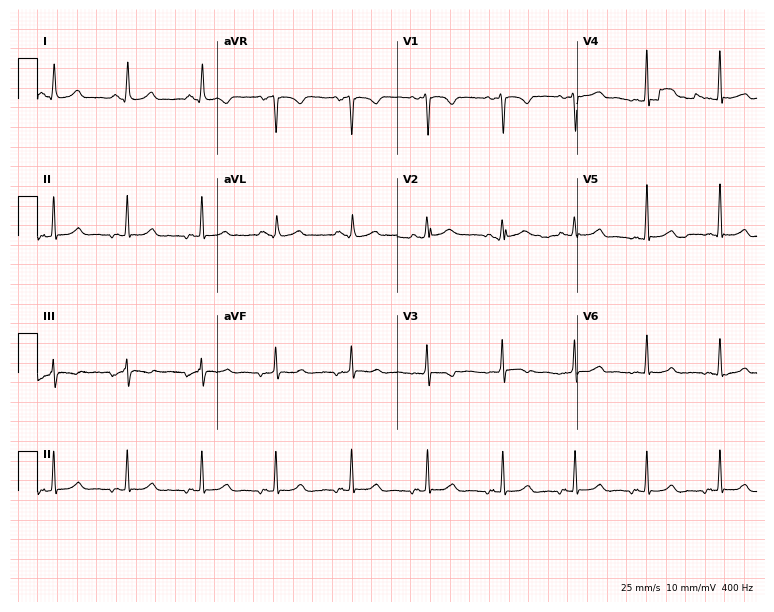
Electrocardiogram (7.3-second recording at 400 Hz), a female patient, 19 years old. Of the six screened findings (first-degree AV block, right bundle branch block, left bundle branch block, sinus bradycardia, atrial fibrillation, sinus tachycardia), none is recorded. Findings outside these six are not listed.